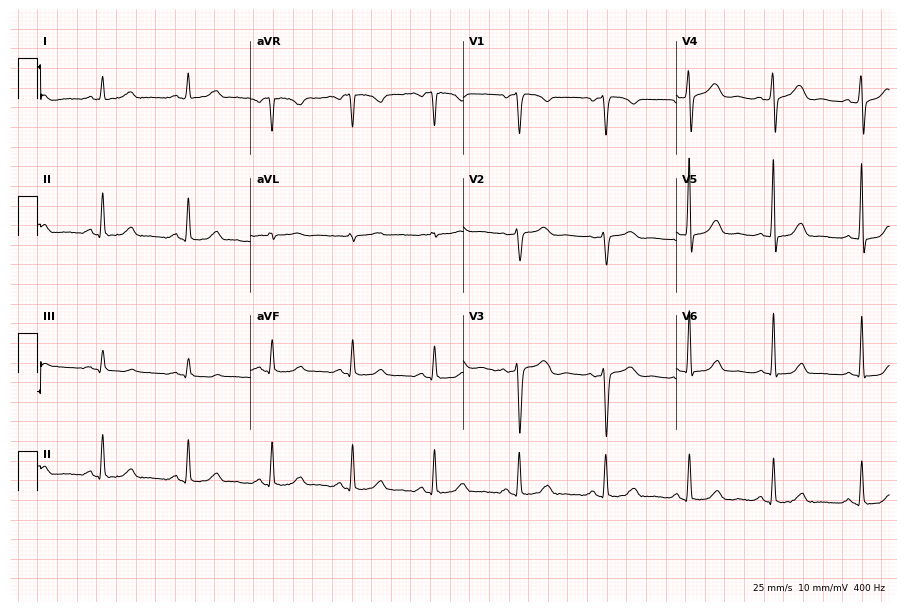
Resting 12-lead electrocardiogram. Patient: a female, 49 years old. Read as a normal ECG.